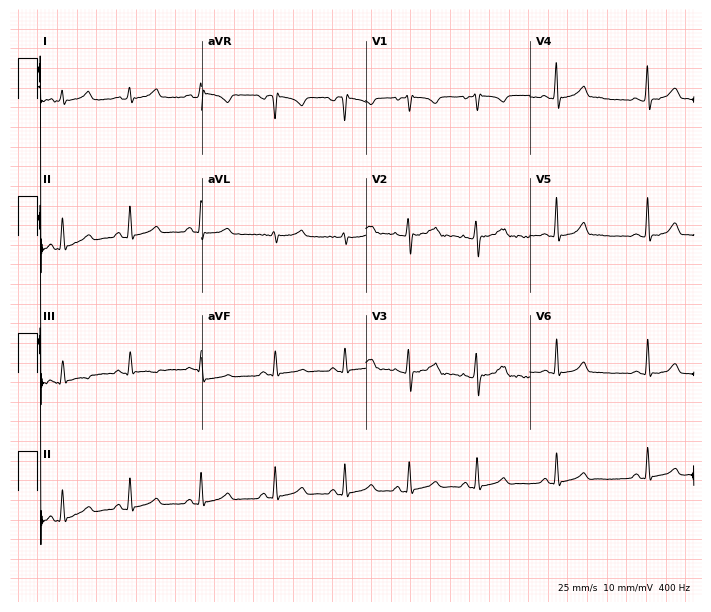
Standard 12-lead ECG recorded from a 22-year-old female (6.7-second recording at 400 Hz). None of these six findings is recorded: first-degree AV block, right bundle branch block, left bundle branch block, sinus bradycardia, atrial fibrillation, sinus tachycardia.